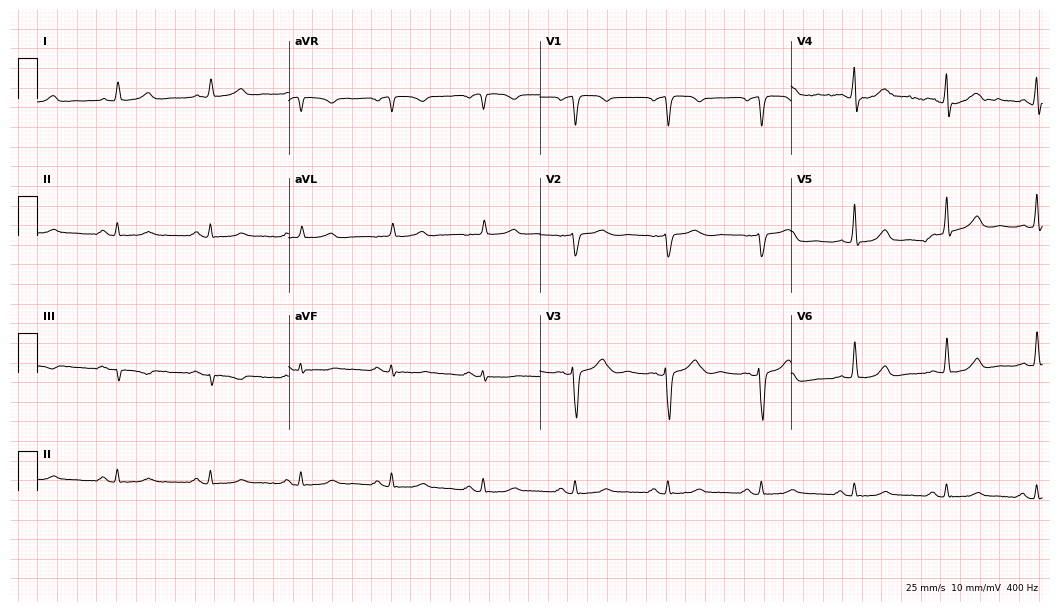
ECG (10.2-second recording at 400 Hz) — a 49-year-old male patient. Labelled as a normal ECG.